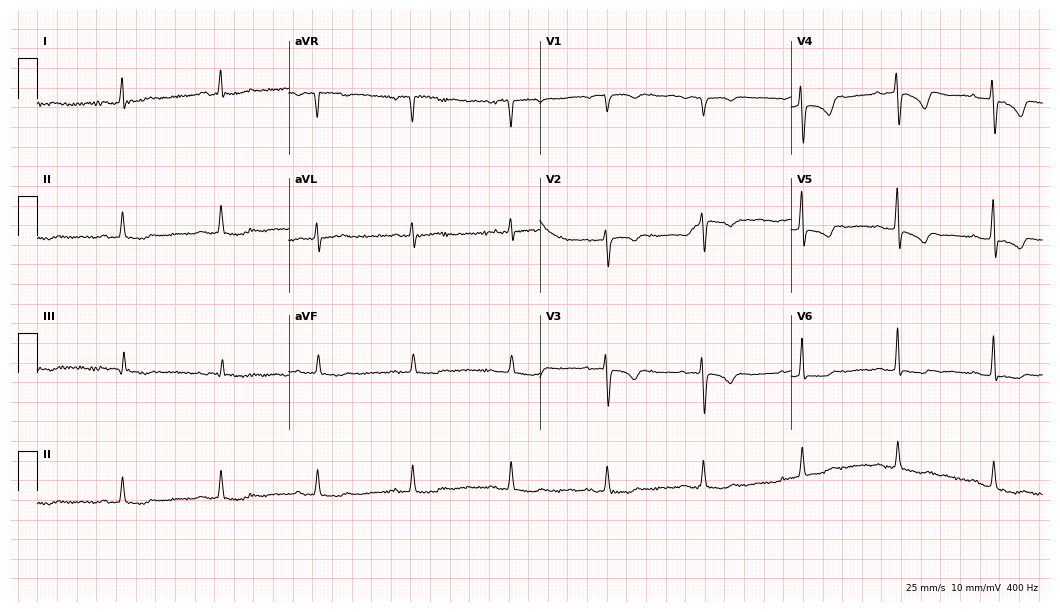
Electrocardiogram, a female, 82 years old. Of the six screened findings (first-degree AV block, right bundle branch block, left bundle branch block, sinus bradycardia, atrial fibrillation, sinus tachycardia), none is recorded. Findings outside these six are not listed.